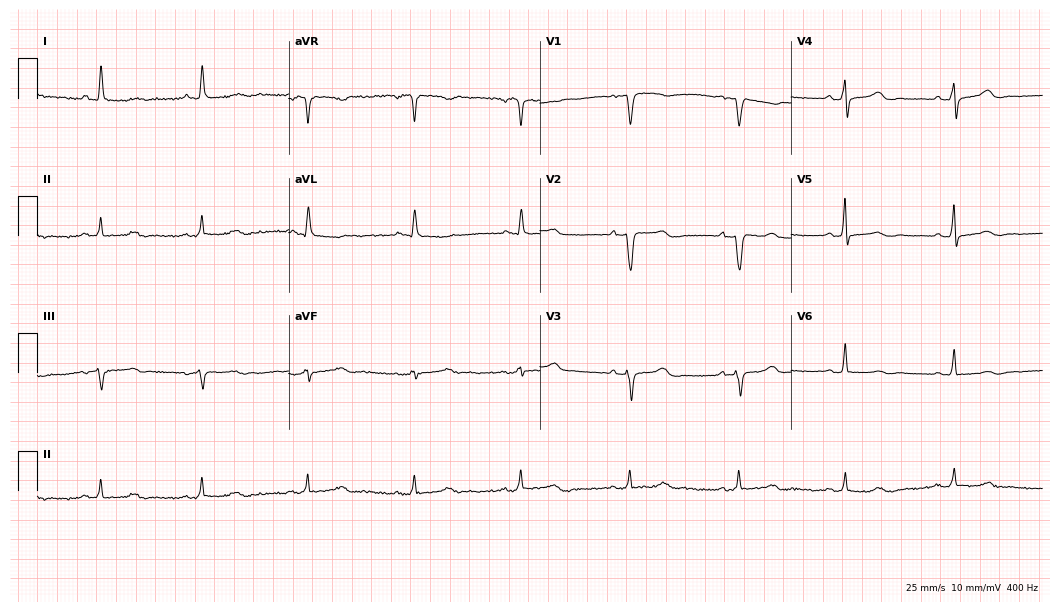
Resting 12-lead electrocardiogram (10.2-second recording at 400 Hz). Patient: a woman, 81 years old. None of these six findings is recorded: first-degree AV block, right bundle branch block (RBBB), left bundle branch block (LBBB), sinus bradycardia, atrial fibrillation (AF), sinus tachycardia. Only these six findings were labelled.